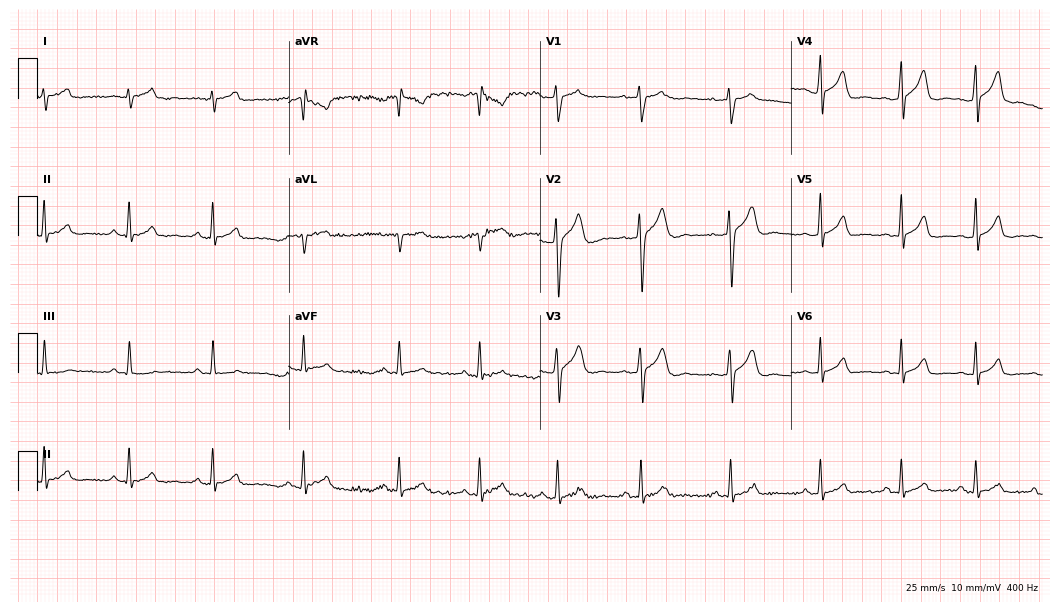
Standard 12-lead ECG recorded from a 27-year-old male patient (10.2-second recording at 400 Hz). Read as a normal ECG.